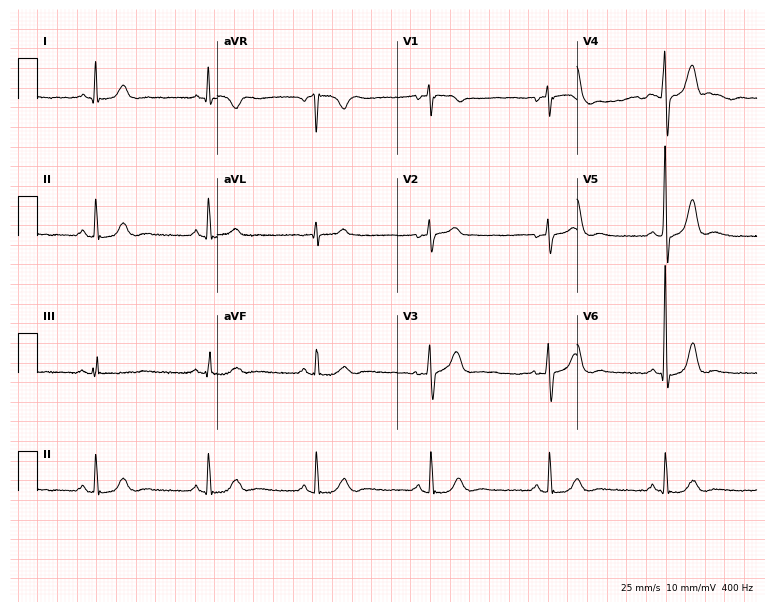
12-lead ECG from a 65-year-old female (7.3-second recording at 400 Hz). Recorded interpretation: within normal limits.